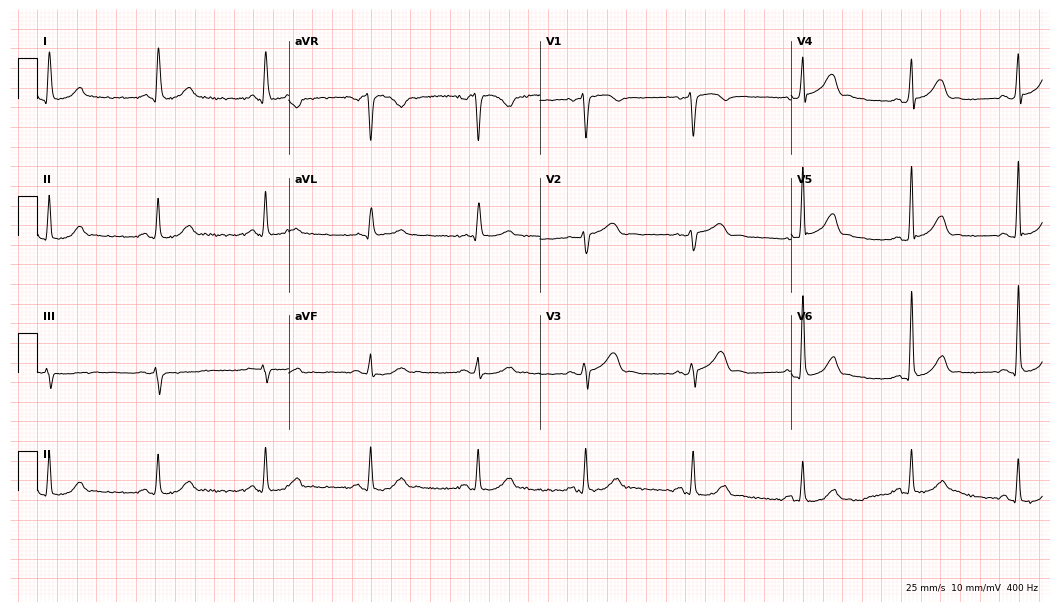
ECG (10.2-second recording at 400 Hz) — a man, 55 years old. Screened for six findings — first-degree AV block, right bundle branch block, left bundle branch block, sinus bradycardia, atrial fibrillation, sinus tachycardia — none is recorded. Only these six findings were labelled.